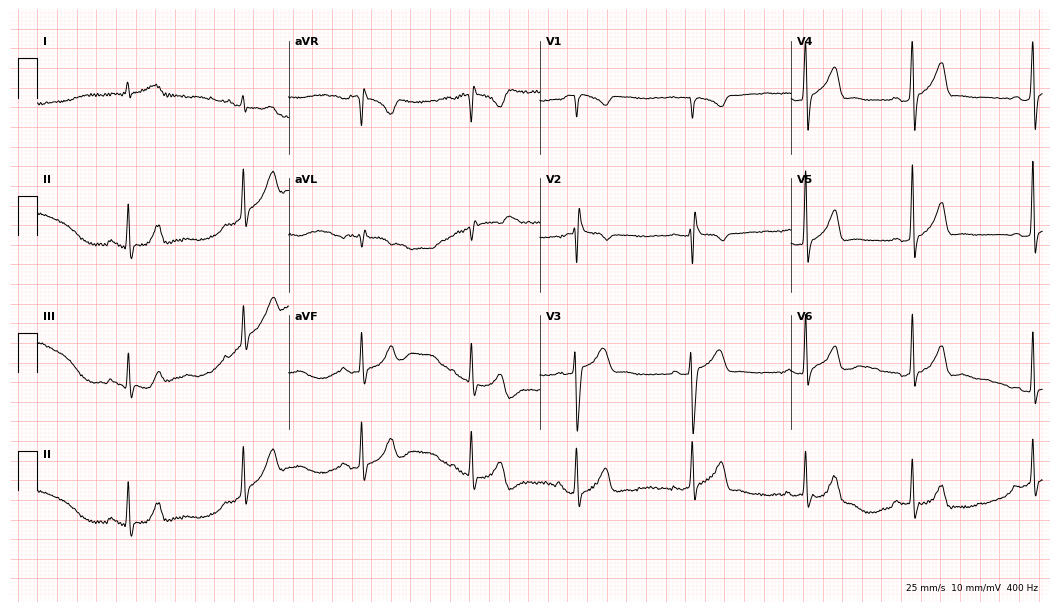
Electrocardiogram, a 47-year-old man. Overall reading on record: normal ECG.